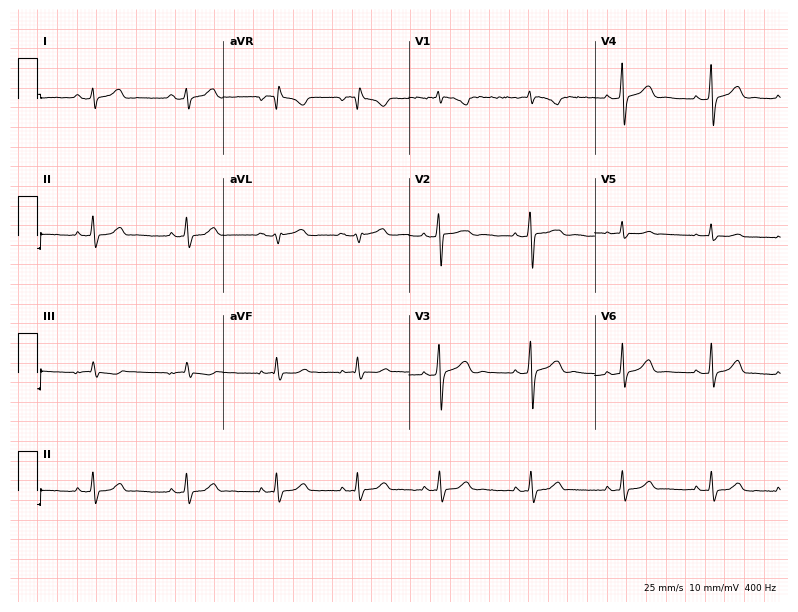
Electrocardiogram, a 29-year-old woman. Of the six screened findings (first-degree AV block, right bundle branch block (RBBB), left bundle branch block (LBBB), sinus bradycardia, atrial fibrillation (AF), sinus tachycardia), none is recorded. Other findings, if any, are not listed.